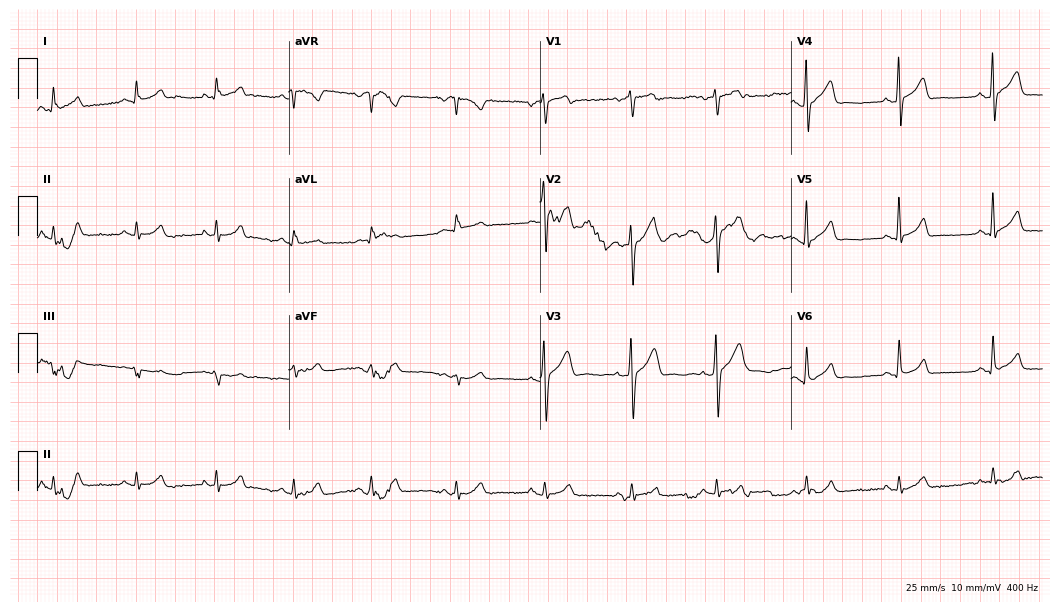
12-lead ECG (10.2-second recording at 400 Hz) from a 40-year-old man. Labelled as a normal ECG.